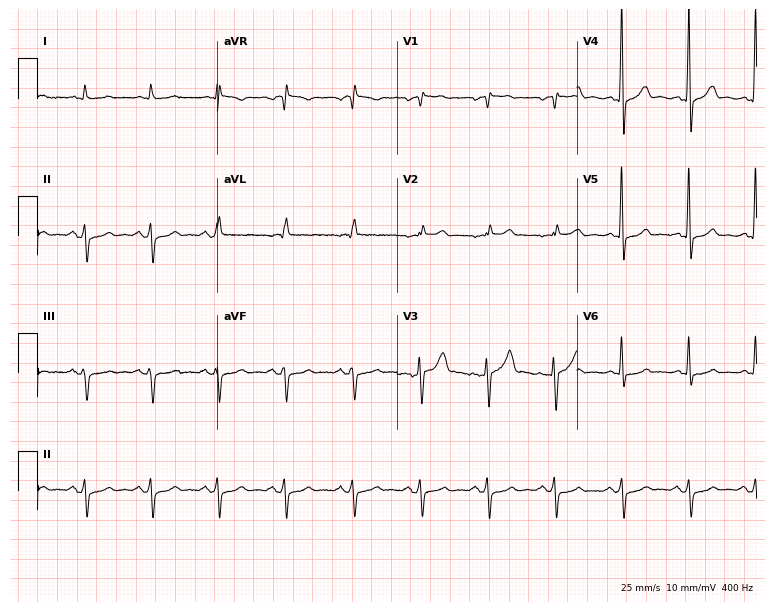
Standard 12-lead ECG recorded from a 62-year-old man. None of these six findings is recorded: first-degree AV block, right bundle branch block (RBBB), left bundle branch block (LBBB), sinus bradycardia, atrial fibrillation (AF), sinus tachycardia.